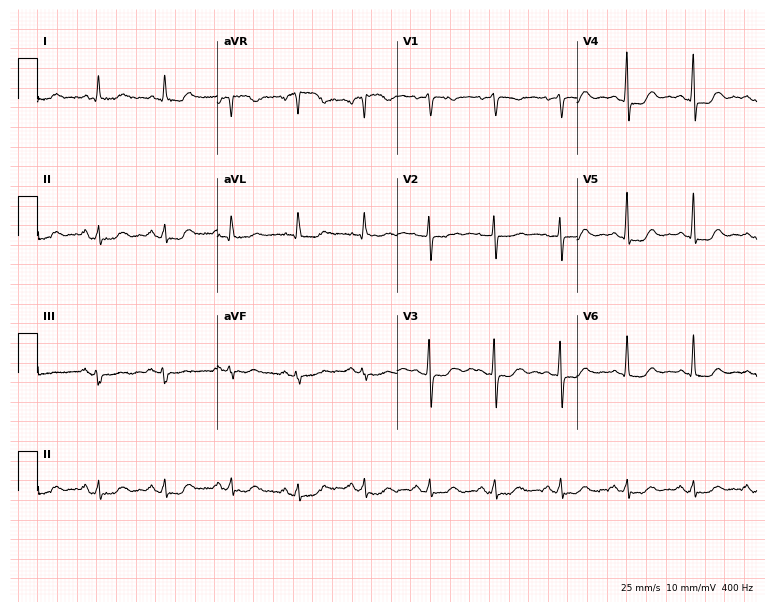
Standard 12-lead ECG recorded from a female patient, 75 years old. None of these six findings is recorded: first-degree AV block, right bundle branch block, left bundle branch block, sinus bradycardia, atrial fibrillation, sinus tachycardia. Only these six findings were labelled.